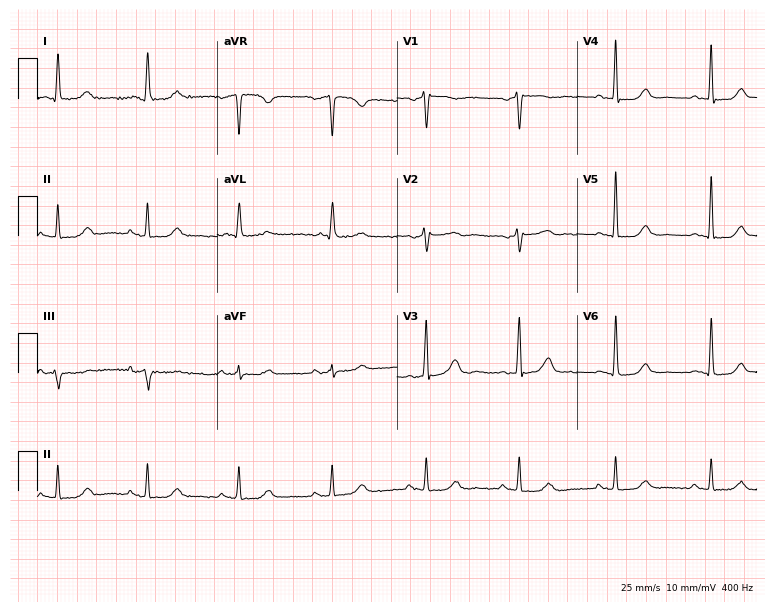
12-lead ECG from a female patient, 79 years old. No first-degree AV block, right bundle branch block (RBBB), left bundle branch block (LBBB), sinus bradycardia, atrial fibrillation (AF) or sinus tachycardia recorded for this tracing. Findings outside these six are not listed.